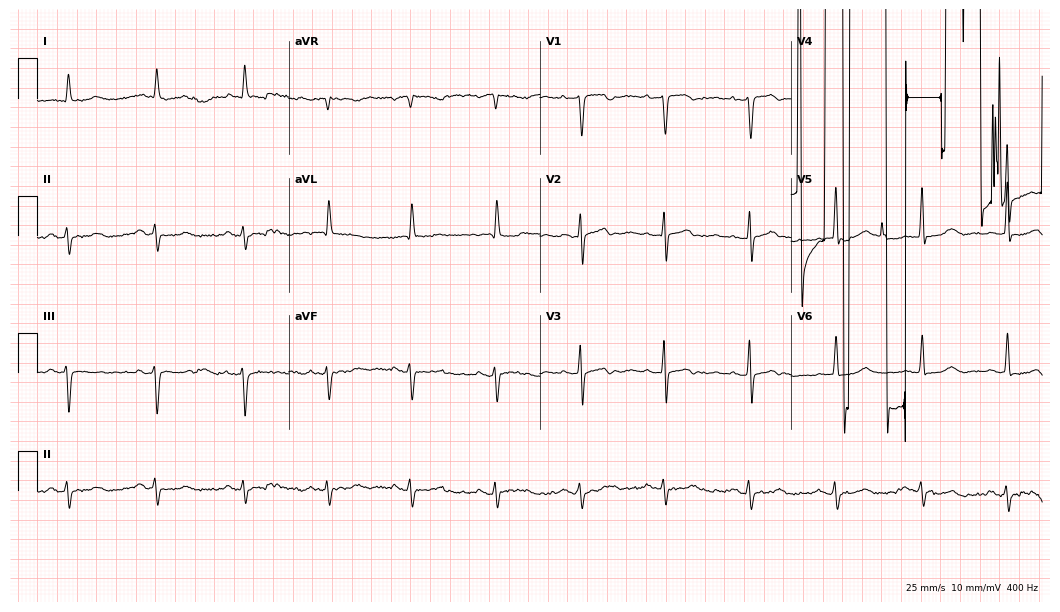
12-lead ECG from an 85-year-old female (10.2-second recording at 400 Hz). No first-degree AV block, right bundle branch block, left bundle branch block, sinus bradycardia, atrial fibrillation or sinus tachycardia recorded for this tracing. Only these six findings were labelled.